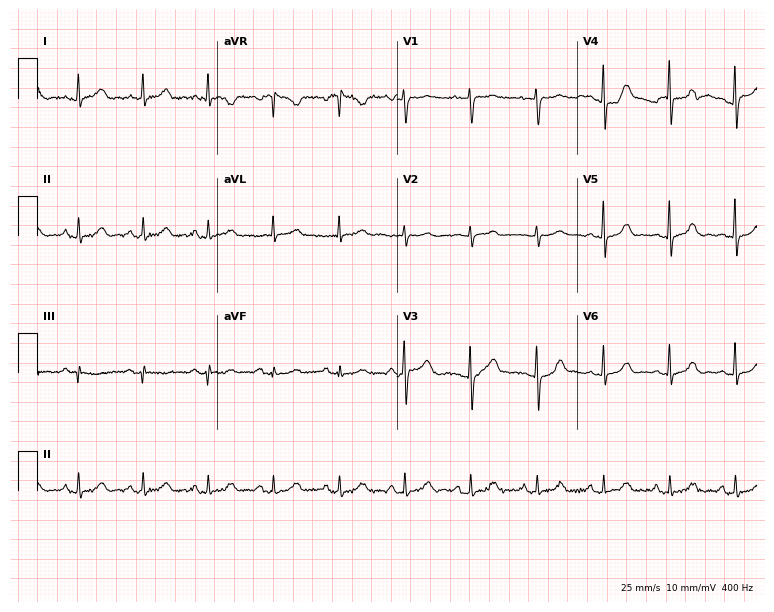
12-lead ECG (7.3-second recording at 400 Hz) from a female, 64 years old. Labelled as a normal ECG.